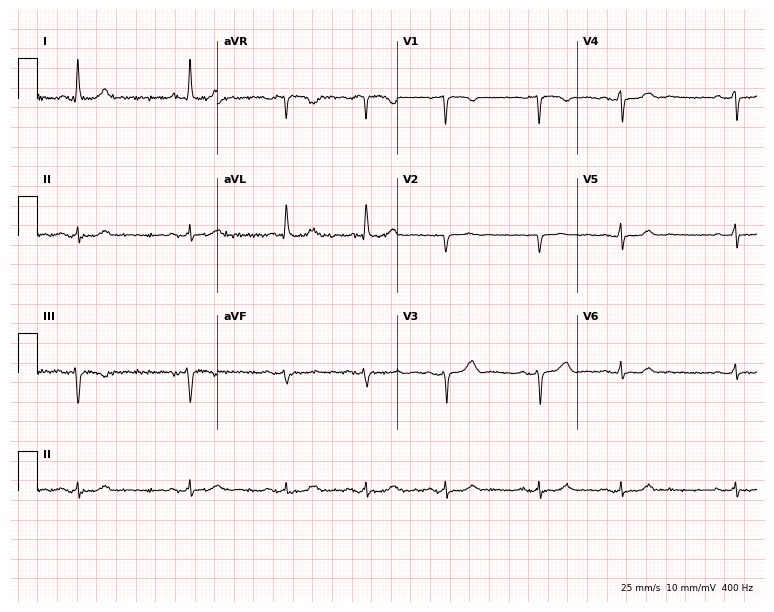
ECG — a 65-year-old female. Screened for six findings — first-degree AV block, right bundle branch block, left bundle branch block, sinus bradycardia, atrial fibrillation, sinus tachycardia — none is recorded. Findings outside these six are not listed.